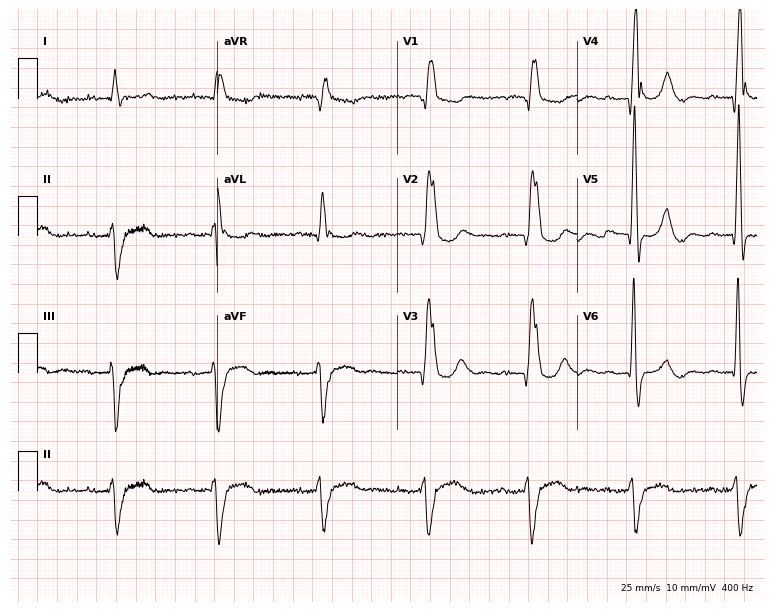
12-lead ECG (7.3-second recording at 400 Hz) from an 83-year-old male. Findings include first-degree AV block, right bundle branch block.